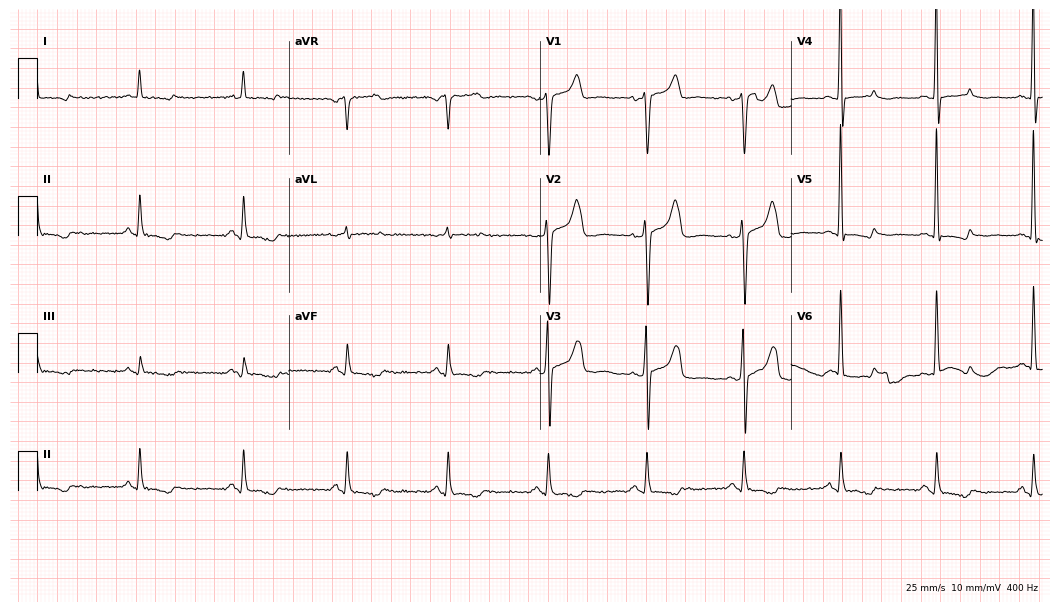
Electrocardiogram, a man, 55 years old. Of the six screened findings (first-degree AV block, right bundle branch block (RBBB), left bundle branch block (LBBB), sinus bradycardia, atrial fibrillation (AF), sinus tachycardia), none is recorded. Other findings, if any, are not listed.